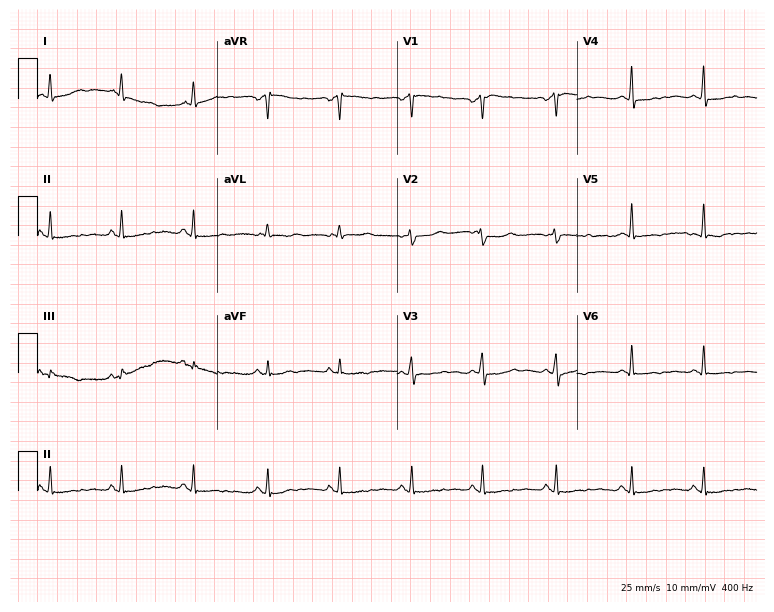
12-lead ECG (7.3-second recording at 400 Hz) from a 40-year-old woman. Screened for six findings — first-degree AV block, right bundle branch block, left bundle branch block, sinus bradycardia, atrial fibrillation, sinus tachycardia — none is recorded. Only these six findings were labelled.